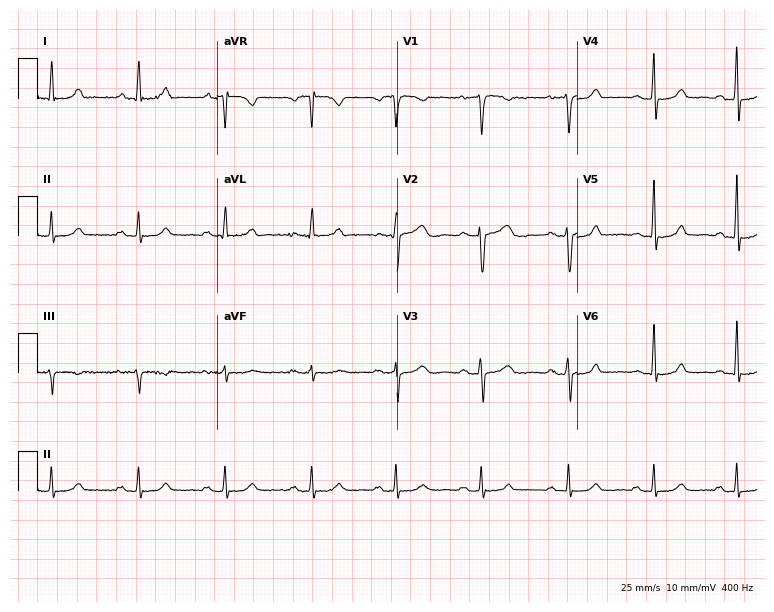
12-lead ECG from a 62-year-old female patient. Labelled as a normal ECG.